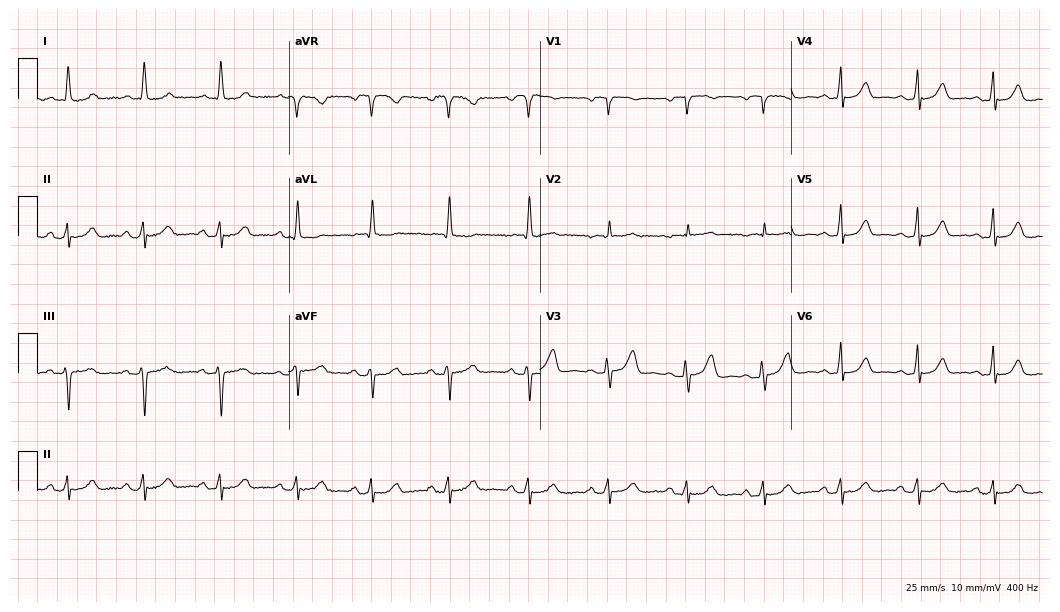
ECG — a 79-year-old female patient. Screened for six findings — first-degree AV block, right bundle branch block, left bundle branch block, sinus bradycardia, atrial fibrillation, sinus tachycardia — none is recorded.